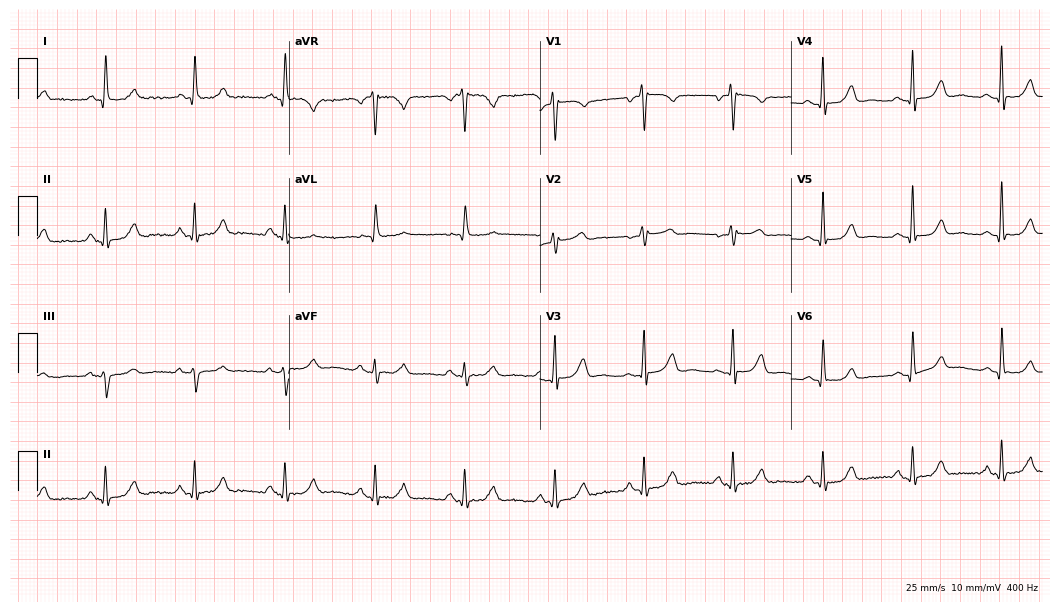
Resting 12-lead electrocardiogram. Patient: a female, 53 years old. None of these six findings is recorded: first-degree AV block, right bundle branch block, left bundle branch block, sinus bradycardia, atrial fibrillation, sinus tachycardia. Only these six findings were labelled.